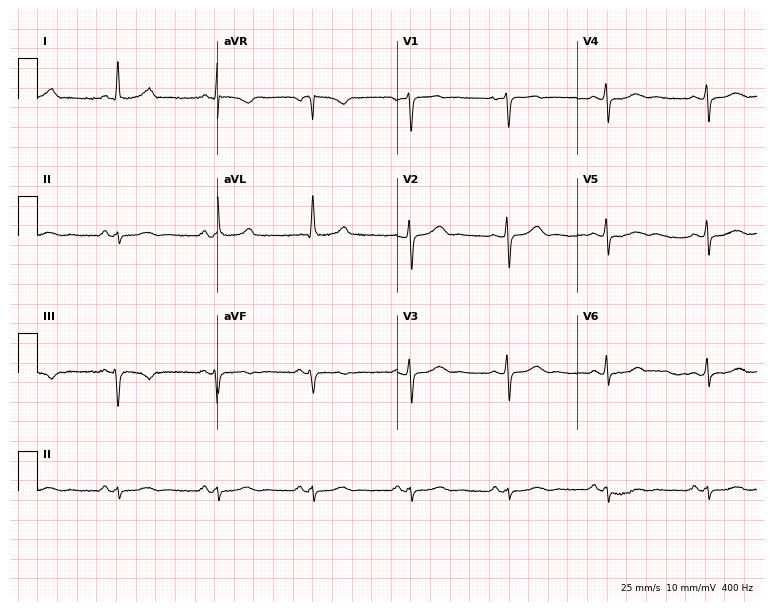
ECG (7.3-second recording at 400 Hz) — a 43-year-old woman. Screened for six findings — first-degree AV block, right bundle branch block (RBBB), left bundle branch block (LBBB), sinus bradycardia, atrial fibrillation (AF), sinus tachycardia — none is recorded. Other findings, if any, are not listed.